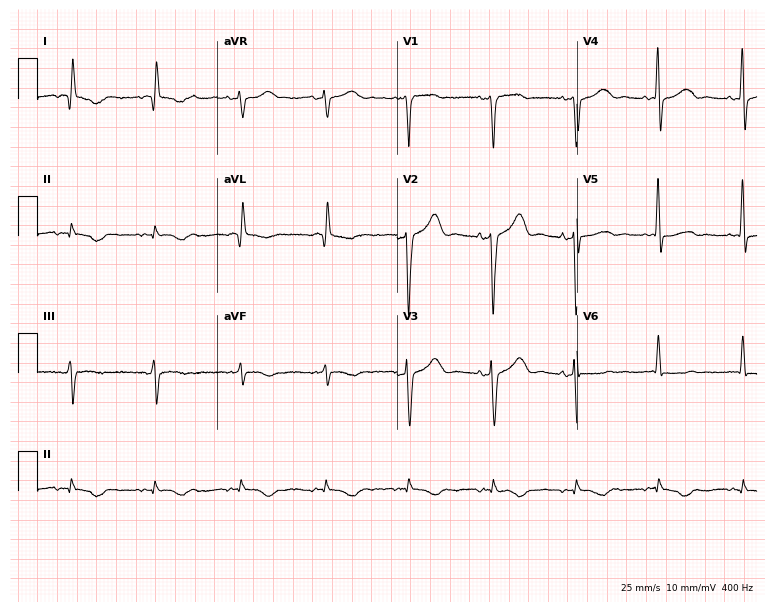
ECG (7.3-second recording at 400 Hz) — a 77-year-old female patient. Screened for six findings — first-degree AV block, right bundle branch block (RBBB), left bundle branch block (LBBB), sinus bradycardia, atrial fibrillation (AF), sinus tachycardia — none is recorded. Only these six findings were labelled.